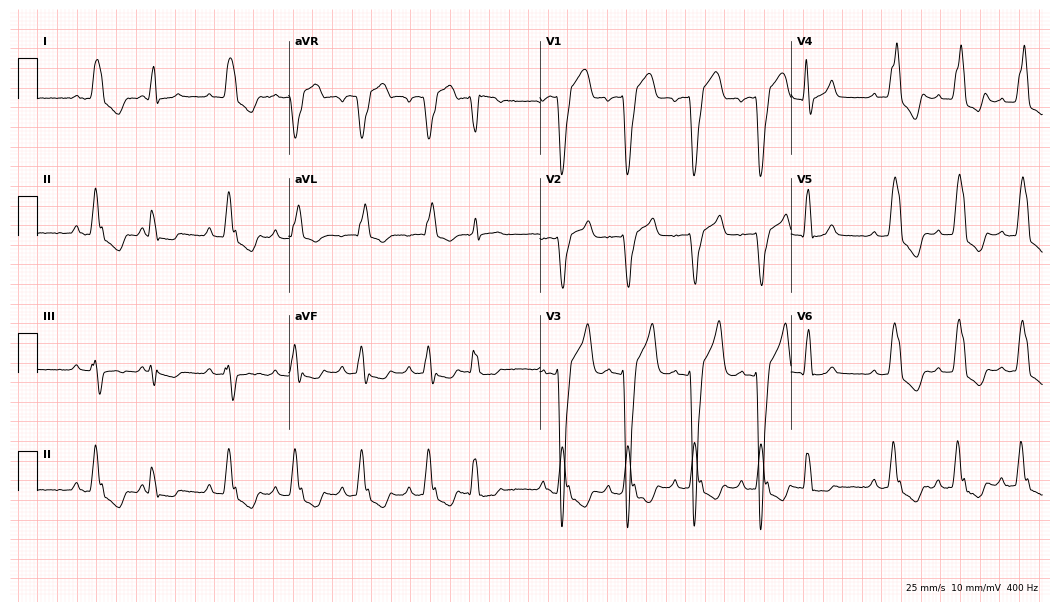
Standard 12-lead ECG recorded from a 73-year-old male (10.2-second recording at 400 Hz). The tracing shows left bundle branch block.